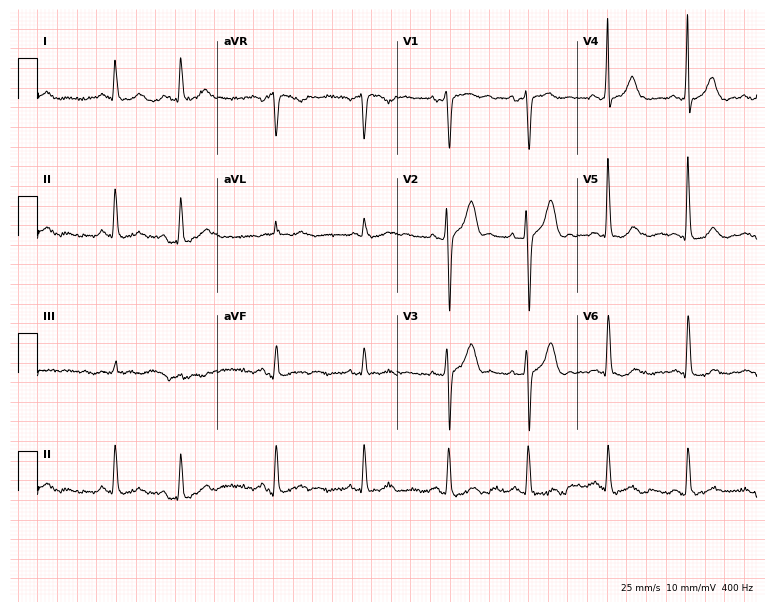
ECG — a man, 76 years old. Screened for six findings — first-degree AV block, right bundle branch block, left bundle branch block, sinus bradycardia, atrial fibrillation, sinus tachycardia — none is recorded. Only these six findings were labelled.